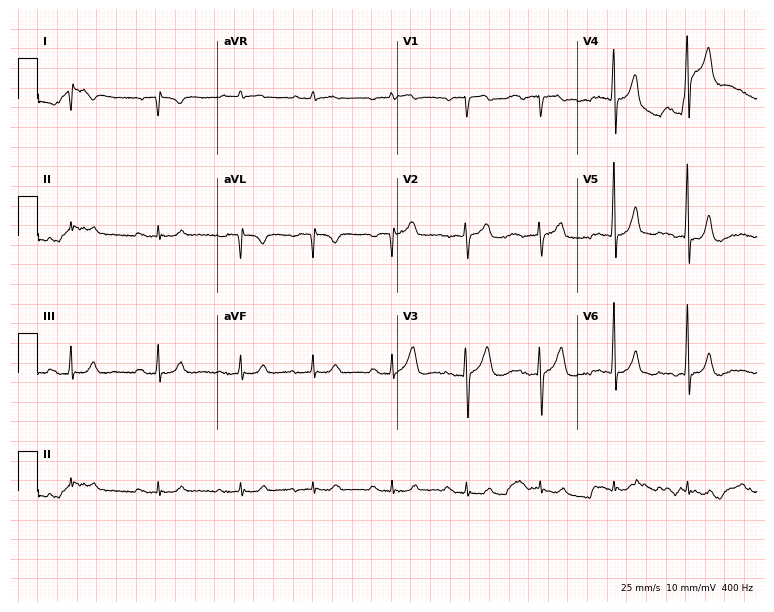
Resting 12-lead electrocardiogram (7.3-second recording at 400 Hz). Patient: a male, 82 years old. None of these six findings is recorded: first-degree AV block, right bundle branch block (RBBB), left bundle branch block (LBBB), sinus bradycardia, atrial fibrillation (AF), sinus tachycardia. Findings outside these six are not listed.